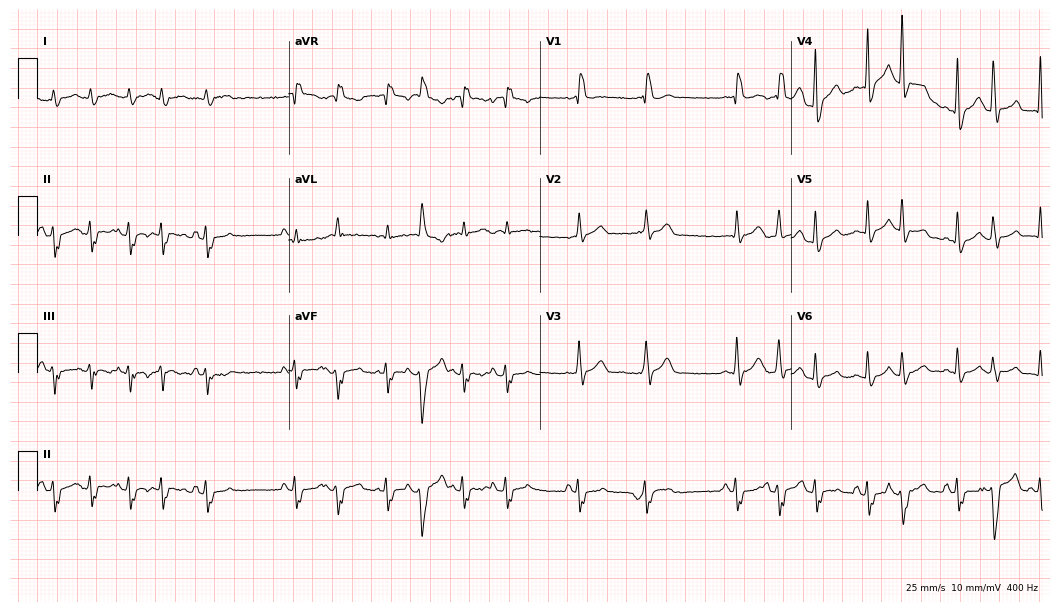
Standard 12-lead ECG recorded from a man, 77 years old (10.2-second recording at 400 Hz). None of these six findings is recorded: first-degree AV block, right bundle branch block, left bundle branch block, sinus bradycardia, atrial fibrillation, sinus tachycardia.